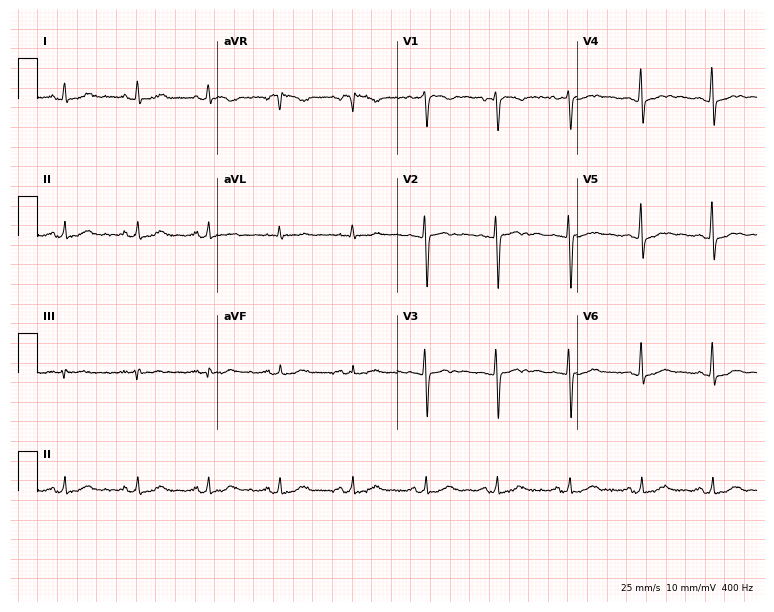
ECG — a female, 26 years old. Screened for six findings — first-degree AV block, right bundle branch block (RBBB), left bundle branch block (LBBB), sinus bradycardia, atrial fibrillation (AF), sinus tachycardia — none is recorded.